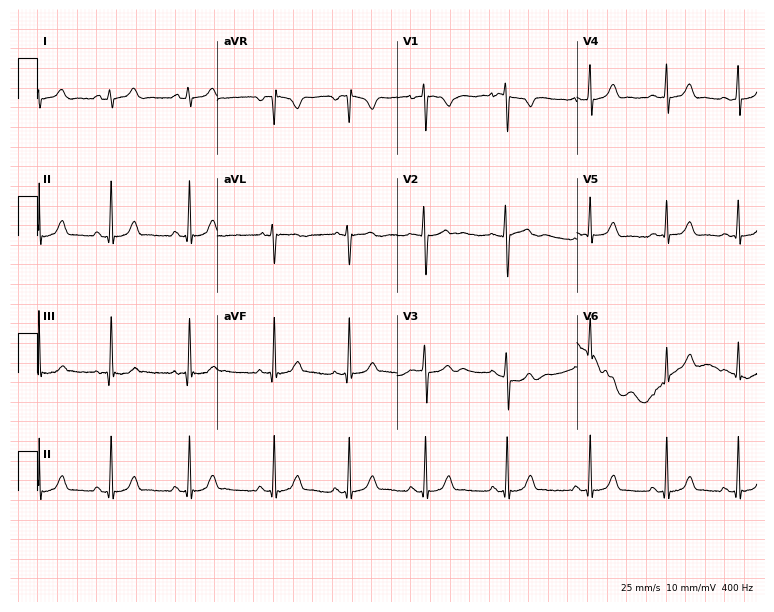
Electrocardiogram, an 18-year-old woman. Overall reading on record: normal ECG.